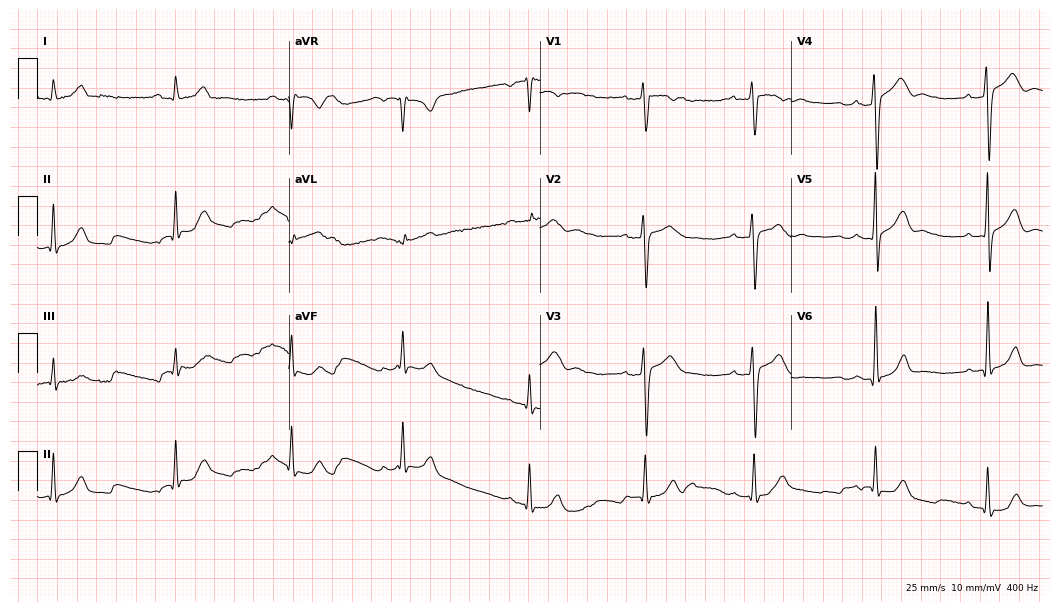
Electrocardiogram (10.2-second recording at 400 Hz), a 21-year-old male. Overall reading on record: normal ECG.